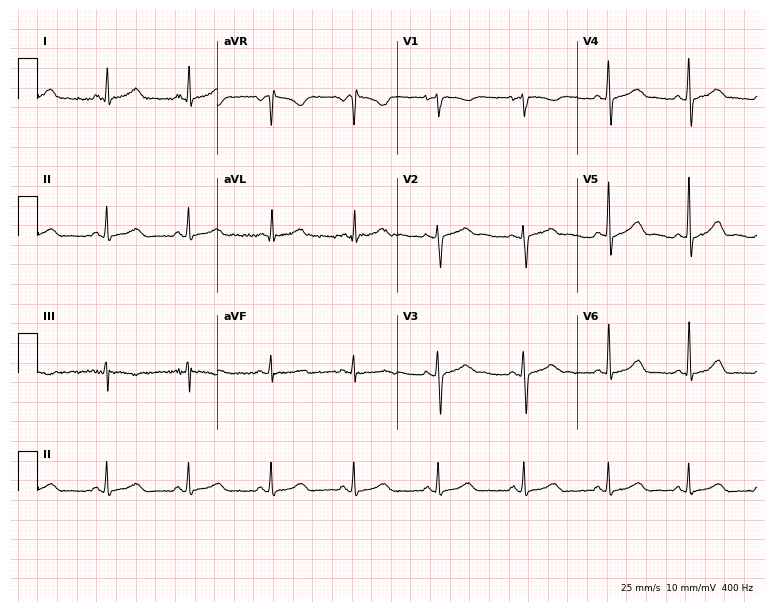
Resting 12-lead electrocardiogram. Patient: a female, 37 years old. Read as a normal ECG.